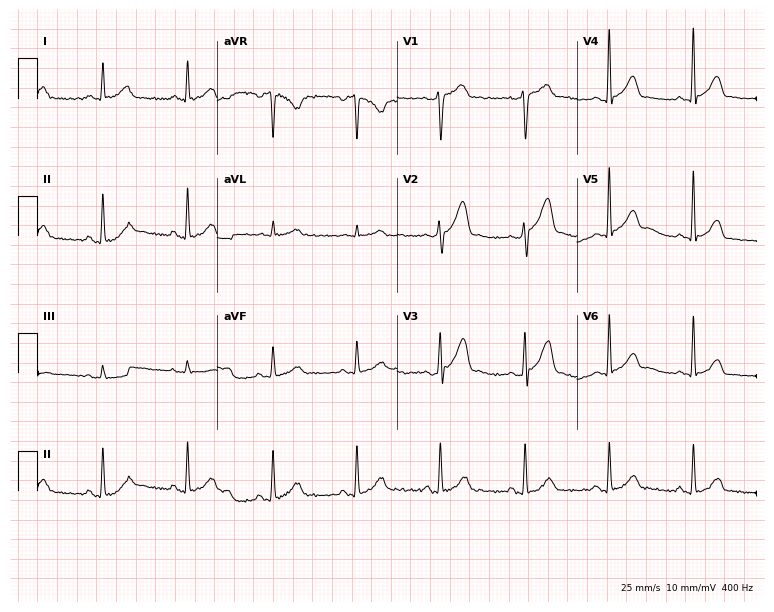
Standard 12-lead ECG recorded from a male, 49 years old. None of these six findings is recorded: first-degree AV block, right bundle branch block, left bundle branch block, sinus bradycardia, atrial fibrillation, sinus tachycardia. Other findings, if any, are not listed.